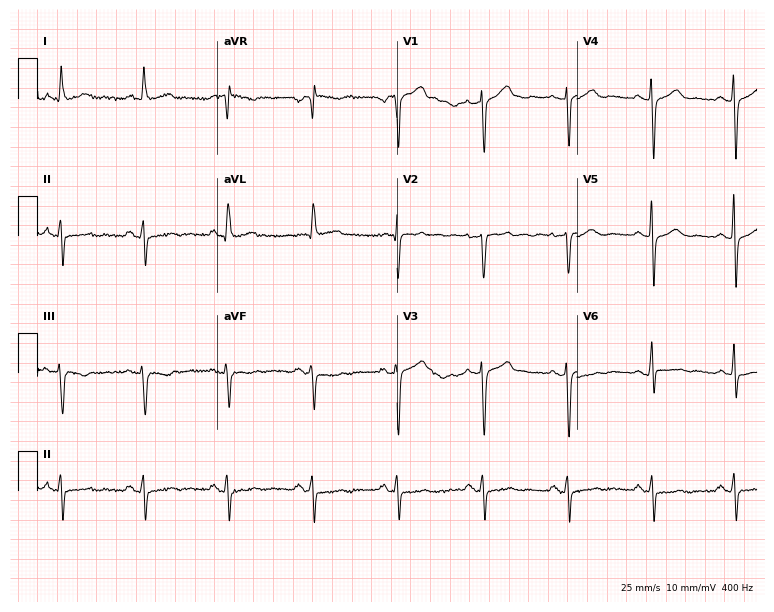
Standard 12-lead ECG recorded from a 44-year-old woman. None of these six findings is recorded: first-degree AV block, right bundle branch block, left bundle branch block, sinus bradycardia, atrial fibrillation, sinus tachycardia.